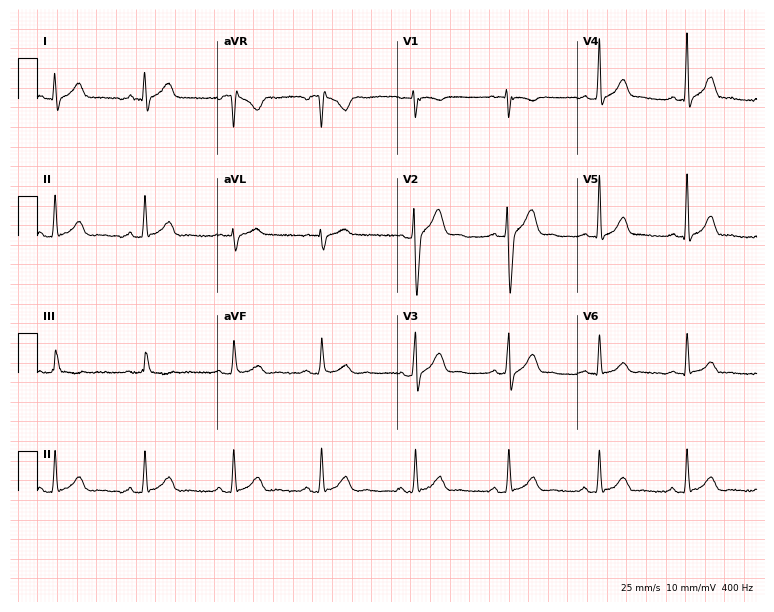
Resting 12-lead electrocardiogram. Patient: a male, 39 years old. Read as a normal ECG.